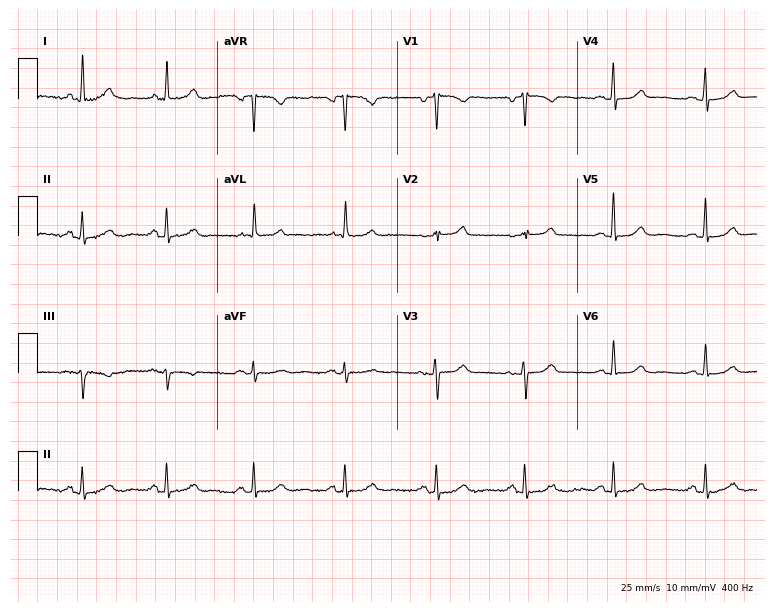
12-lead ECG from a 71-year-old woman. Labelled as a normal ECG.